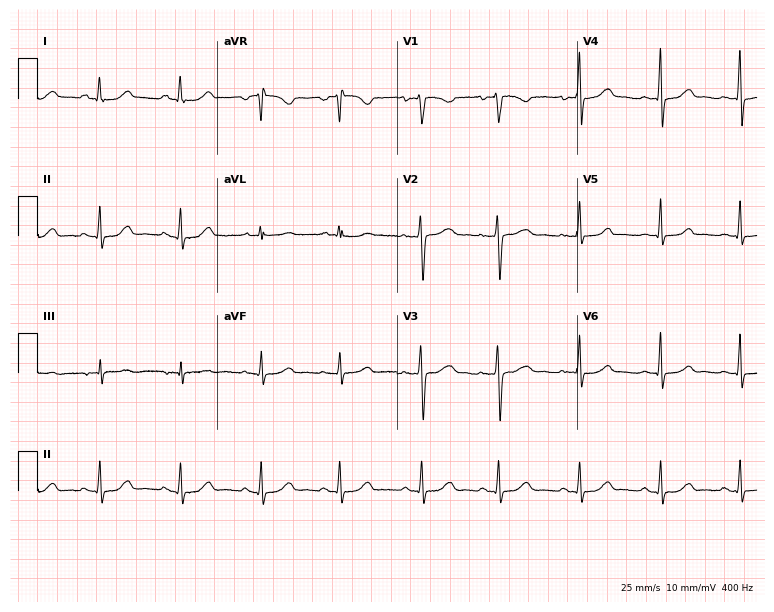
12-lead ECG from a female patient, 37 years old (7.3-second recording at 400 Hz). Recorded interpretation: within normal limits.